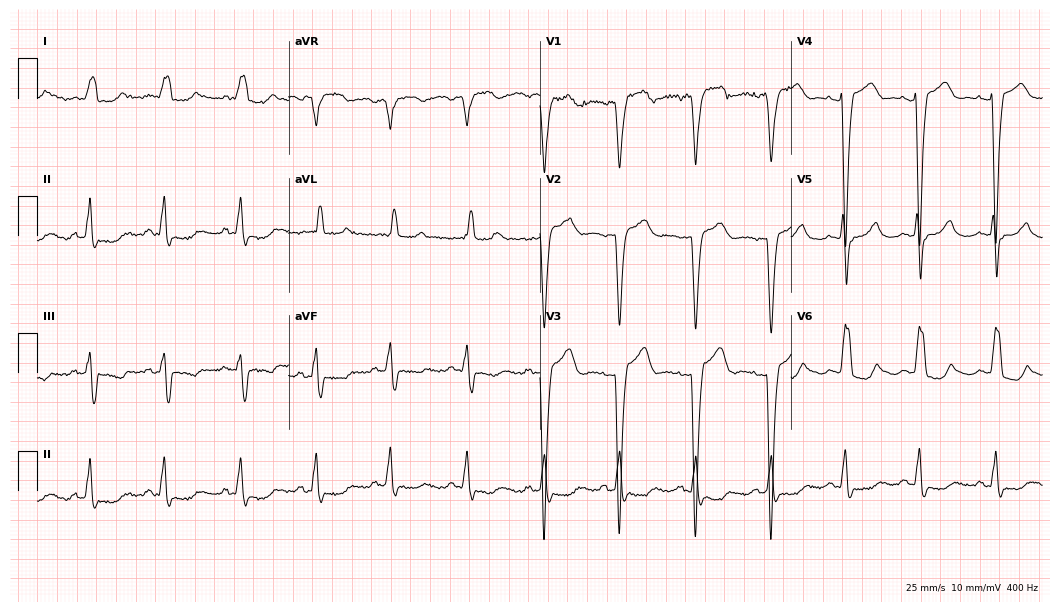
12-lead ECG (10.2-second recording at 400 Hz) from a female, 61 years old. Findings include left bundle branch block.